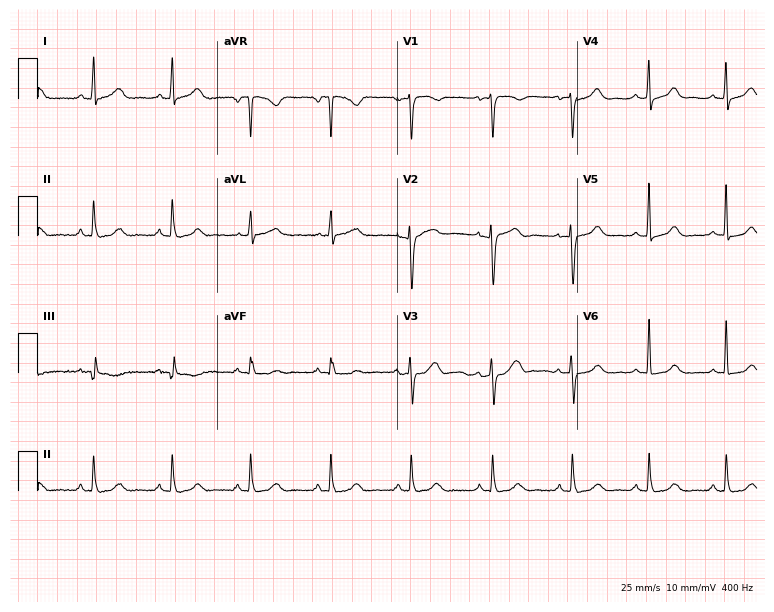
Standard 12-lead ECG recorded from a 41-year-old woman (7.3-second recording at 400 Hz). Read as a normal ECG.